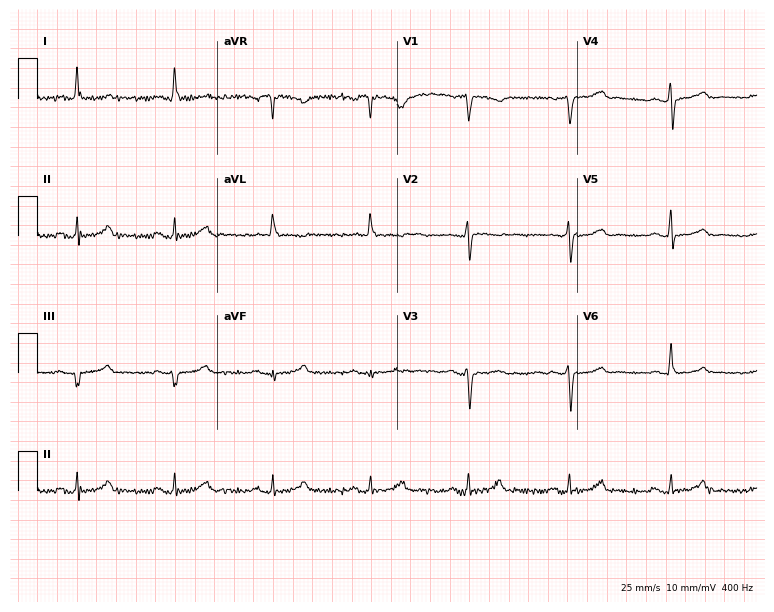
Resting 12-lead electrocardiogram (7.3-second recording at 400 Hz). Patient: a female, 67 years old. Read as a normal ECG.